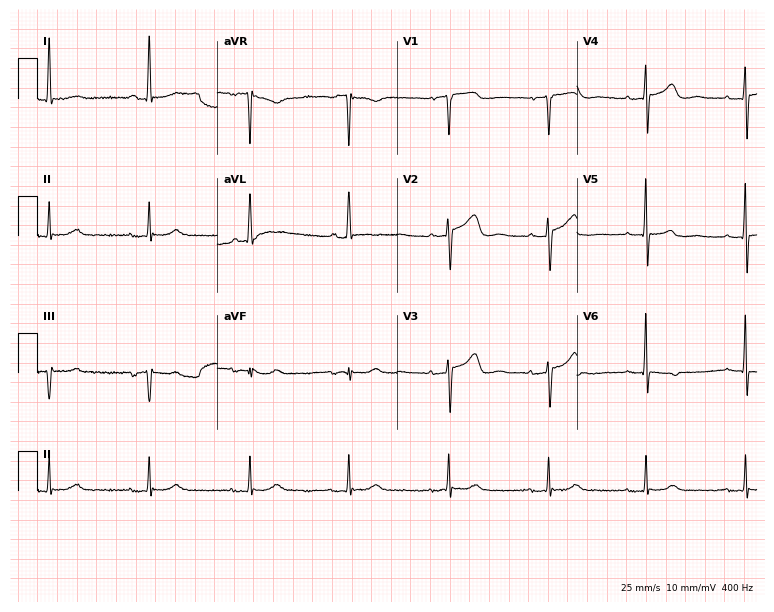
Electrocardiogram (7.3-second recording at 400 Hz), a 71-year-old female. Of the six screened findings (first-degree AV block, right bundle branch block, left bundle branch block, sinus bradycardia, atrial fibrillation, sinus tachycardia), none is recorded.